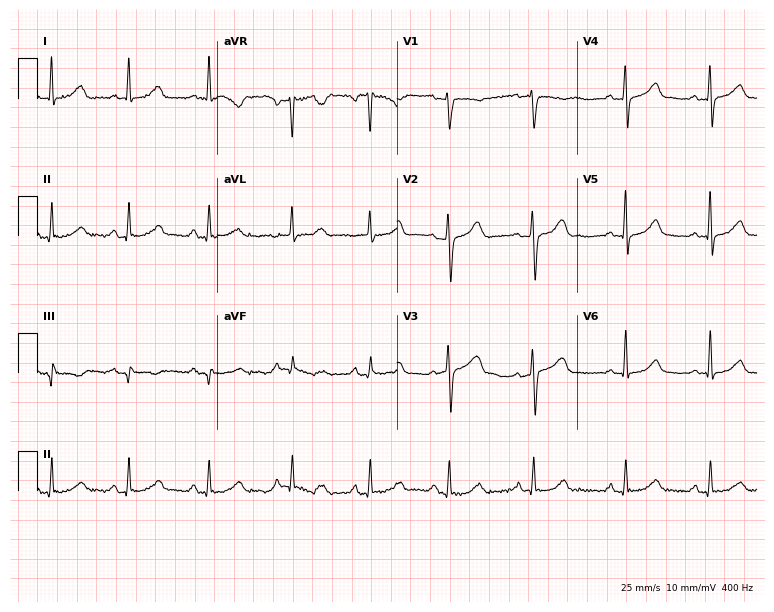
12-lead ECG from a female patient, 42 years old (7.3-second recording at 400 Hz). Recorded interpretation: within normal limits.